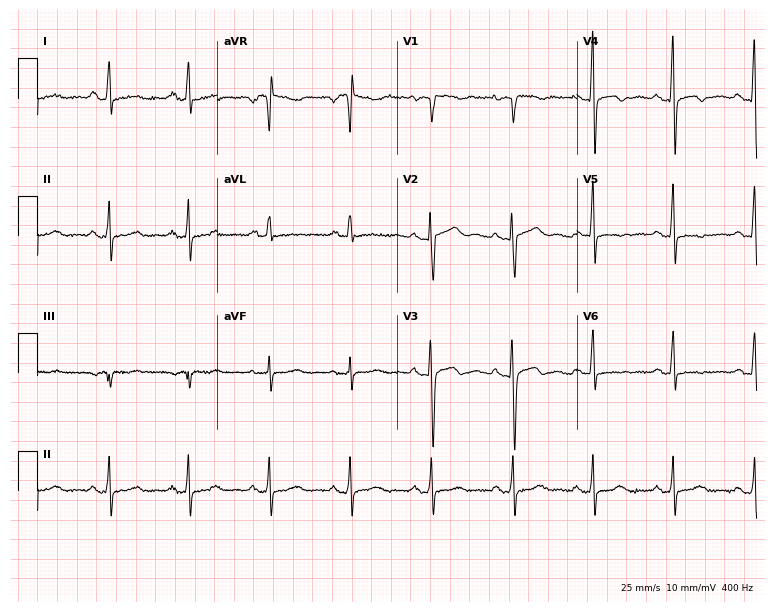
ECG (7.3-second recording at 400 Hz) — a 61-year-old woman. Screened for six findings — first-degree AV block, right bundle branch block, left bundle branch block, sinus bradycardia, atrial fibrillation, sinus tachycardia — none is recorded. Other findings, if any, are not listed.